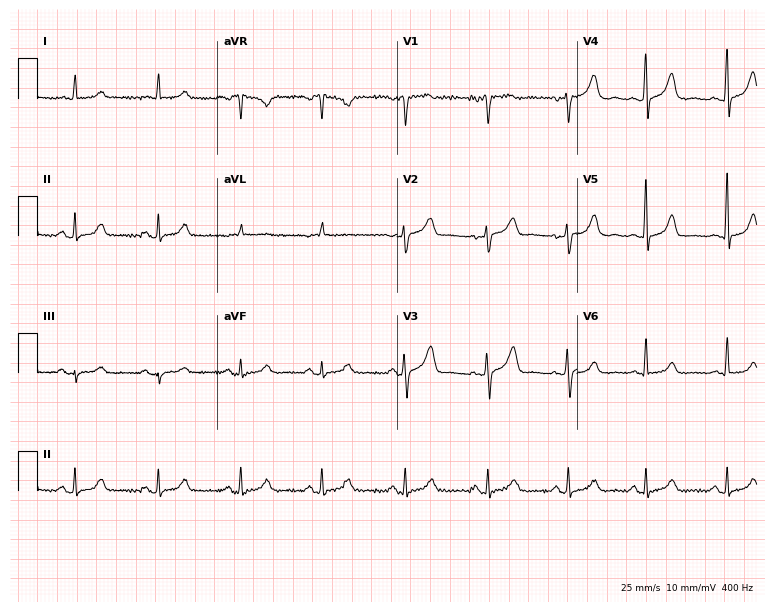
12-lead ECG from an 81-year-old female patient. Labelled as a normal ECG.